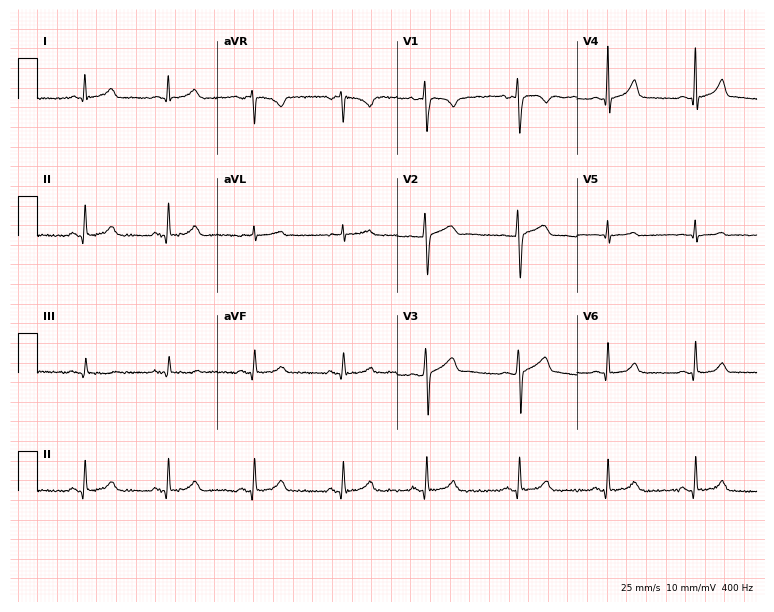
ECG — a 26-year-old female patient. Labelled as a normal ECG.